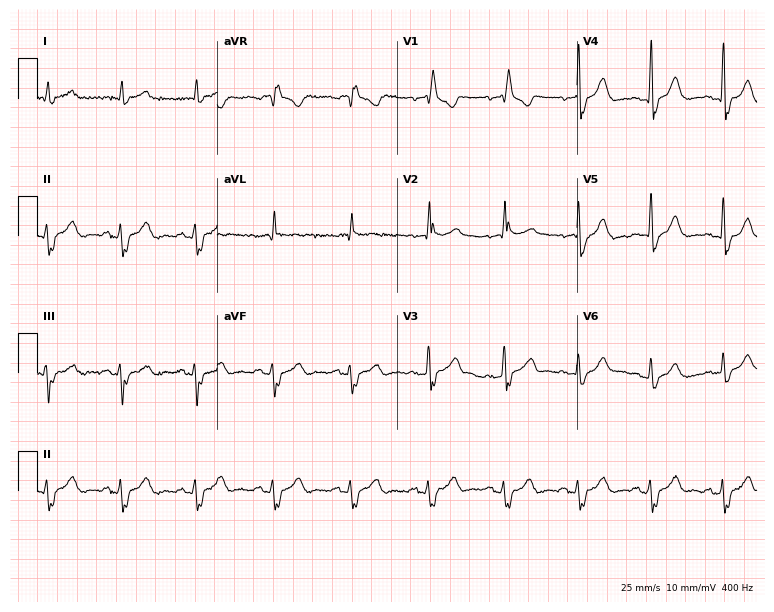
12-lead ECG from a 71-year-old male. Shows right bundle branch block (RBBB).